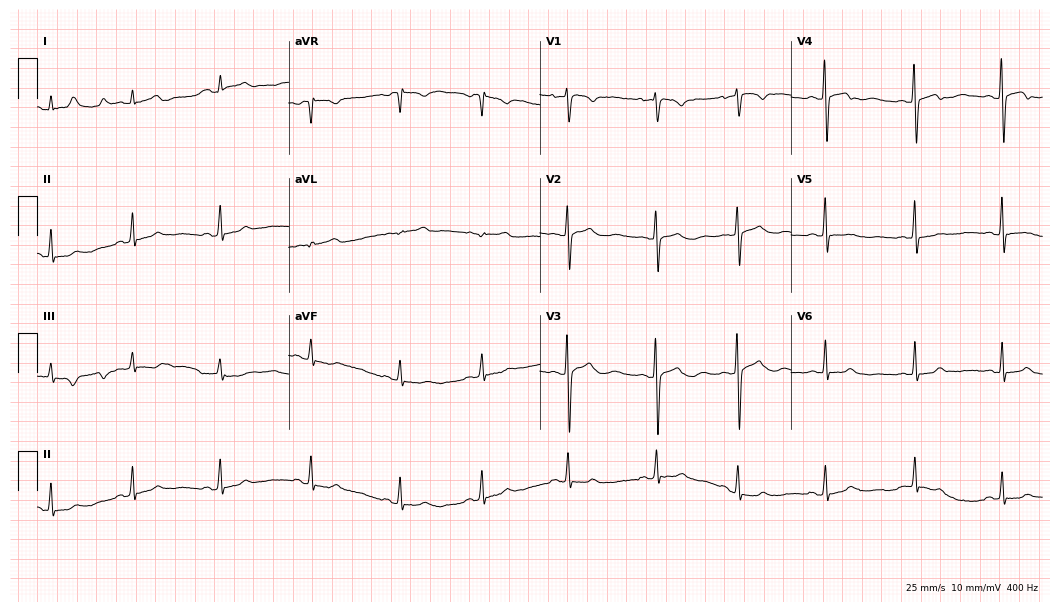
Standard 12-lead ECG recorded from a female patient, 23 years old. Read as a normal ECG.